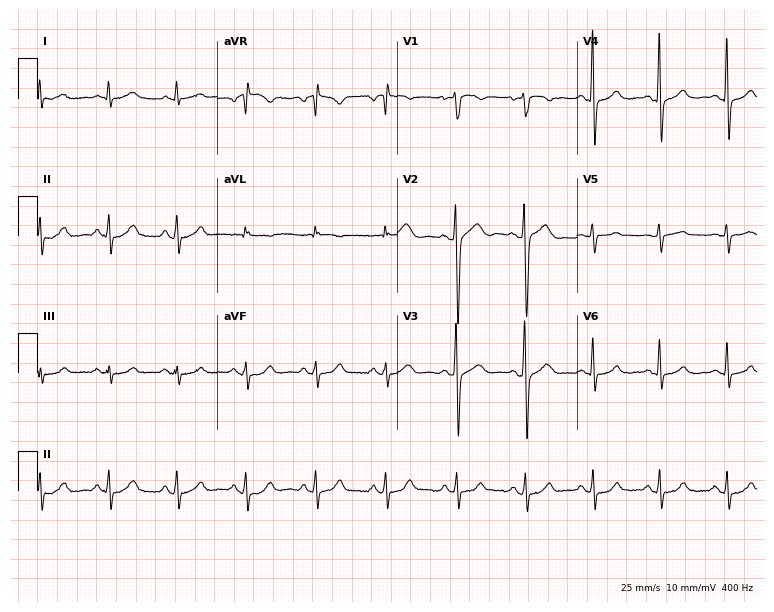
12-lead ECG from a male, 52 years old (7.3-second recording at 400 Hz). Recorded interpretation: within normal limits.